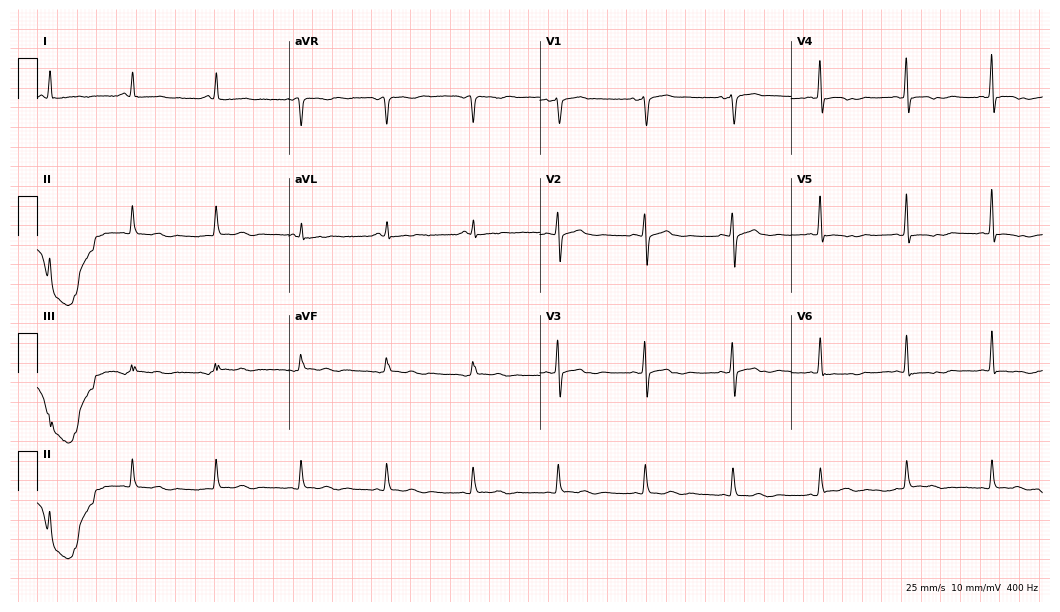
ECG (10.2-second recording at 400 Hz) — a 67-year-old female. Screened for six findings — first-degree AV block, right bundle branch block, left bundle branch block, sinus bradycardia, atrial fibrillation, sinus tachycardia — none is recorded.